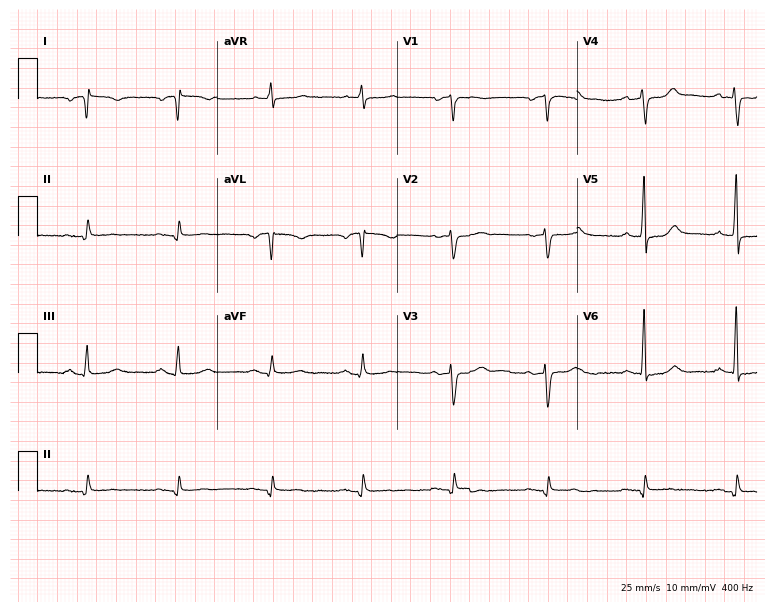
Electrocardiogram, a 48-year-old female patient. Of the six screened findings (first-degree AV block, right bundle branch block, left bundle branch block, sinus bradycardia, atrial fibrillation, sinus tachycardia), none is recorded. Findings outside these six are not listed.